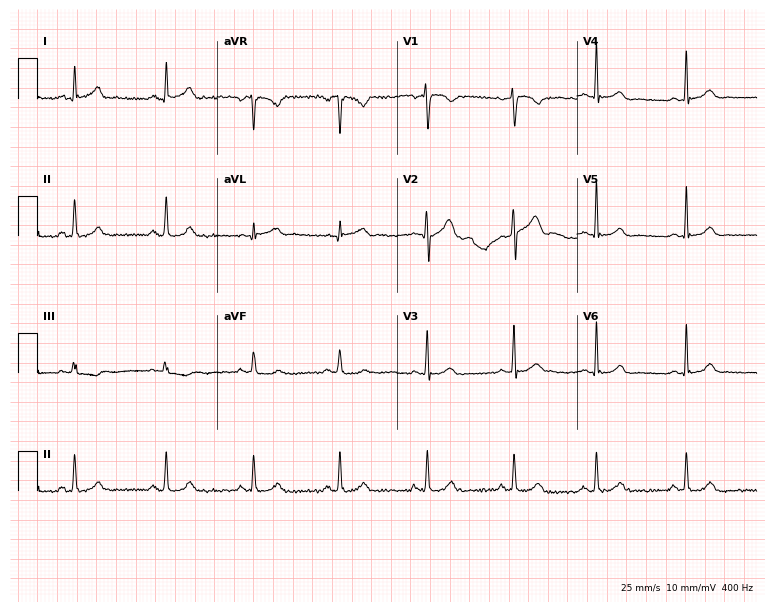
12-lead ECG from a 31-year-old female patient. Screened for six findings — first-degree AV block, right bundle branch block, left bundle branch block, sinus bradycardia, atrial fibrillation, sinus tachycardia — none is recorded. Findings outside these six are not listed.